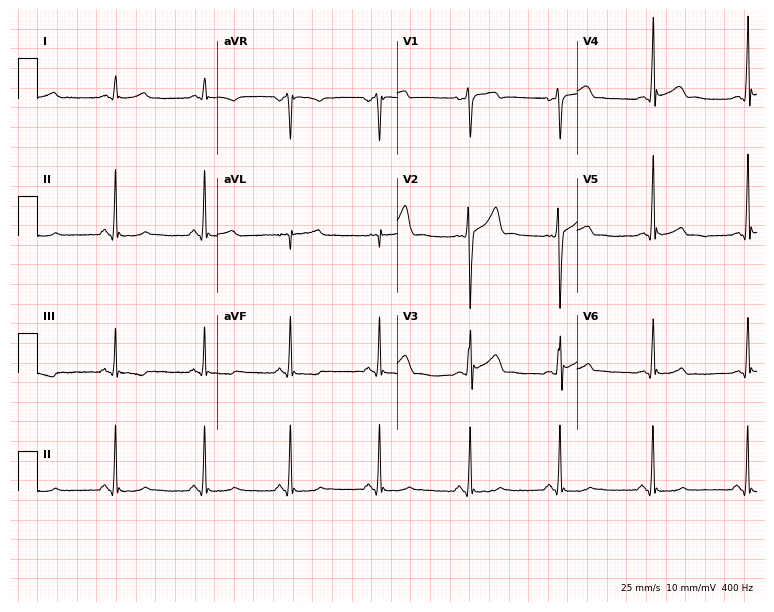
12-lead ECG (7.3-second recording at 400 Hz) from a 38-year-old man. Labelled as a normal ECG.